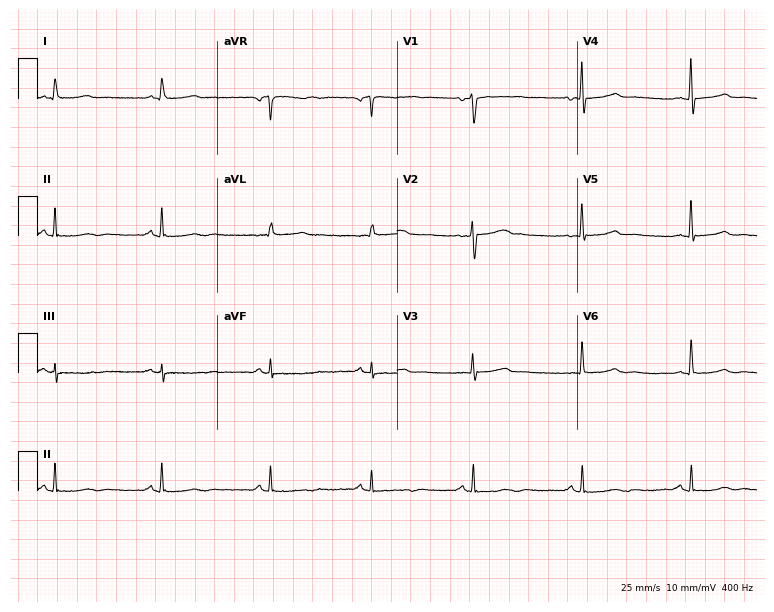
Standard 12-lead ECG recorded from a 56-year-old female patient (7.3-second recording at 400 Hz). Read as a normal ECG.